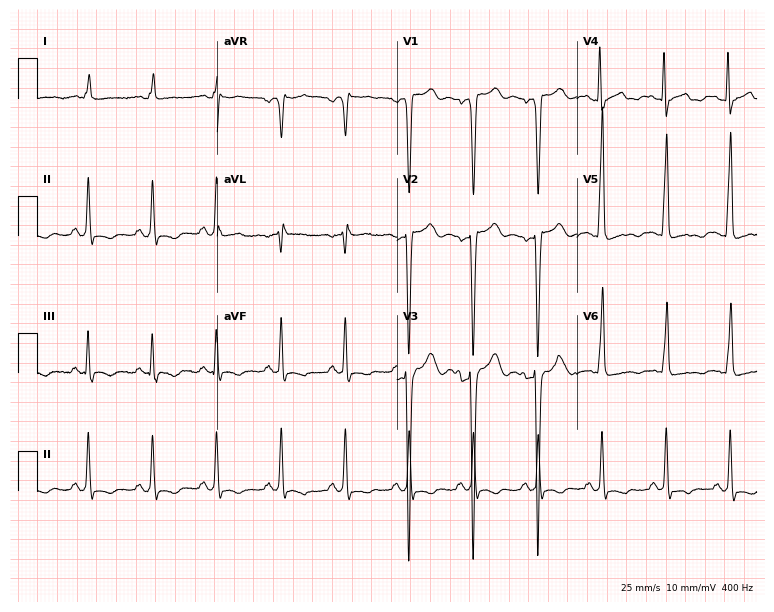
Resting 12-lead electrocardiogram. Patient: a 72-year-old male. None of these six findings is recorded: first-degree AV block, right bundle branch block, left bundle branch block, sinus bradycardia, atrial fibrillation, sinus tachycardia.